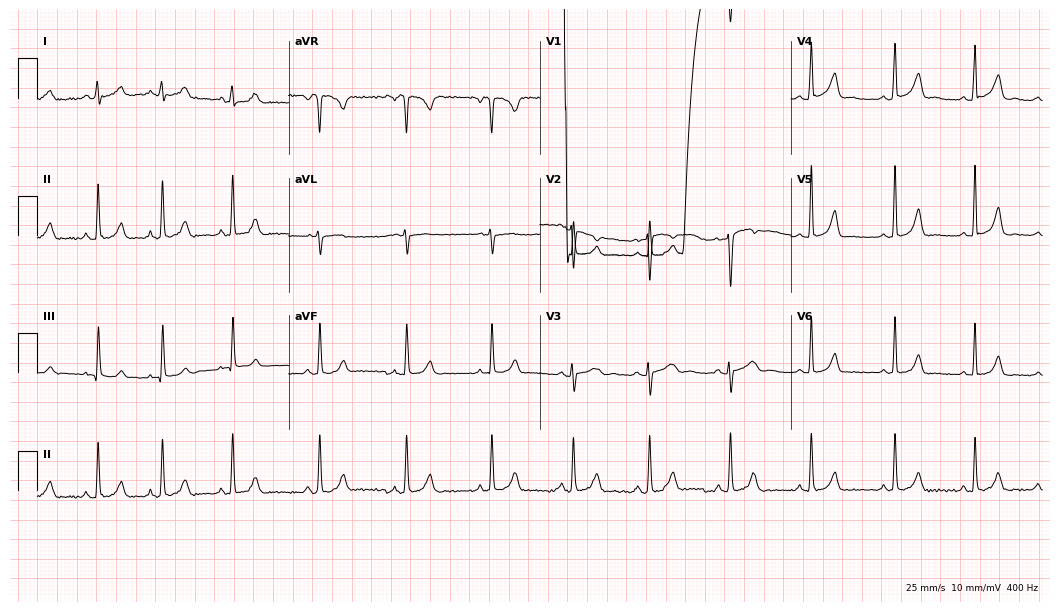
Resting 12-lead electrocardiogram. Patient: a 23-year-old female. None of these six findings is recorded: first-degree AV block, right bundle branch block (RBBB), left bundle branch block (LBBB), sinus bradycardia, atrial fibrillation (AF), sinus tachycardia. Other findings, if any, are not listed.